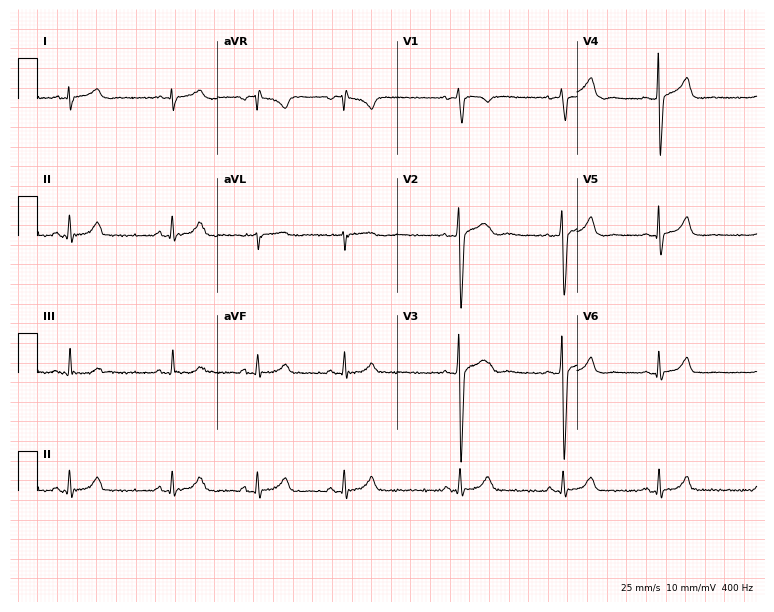
Electrocardiogram, a 29-year-old female. Of the six screened findings (first-degree AV block, right bundle branch block, left bundle branch block, sinus bradycardia, atrial fibrillation, sinus tachycardia), none is recorded.